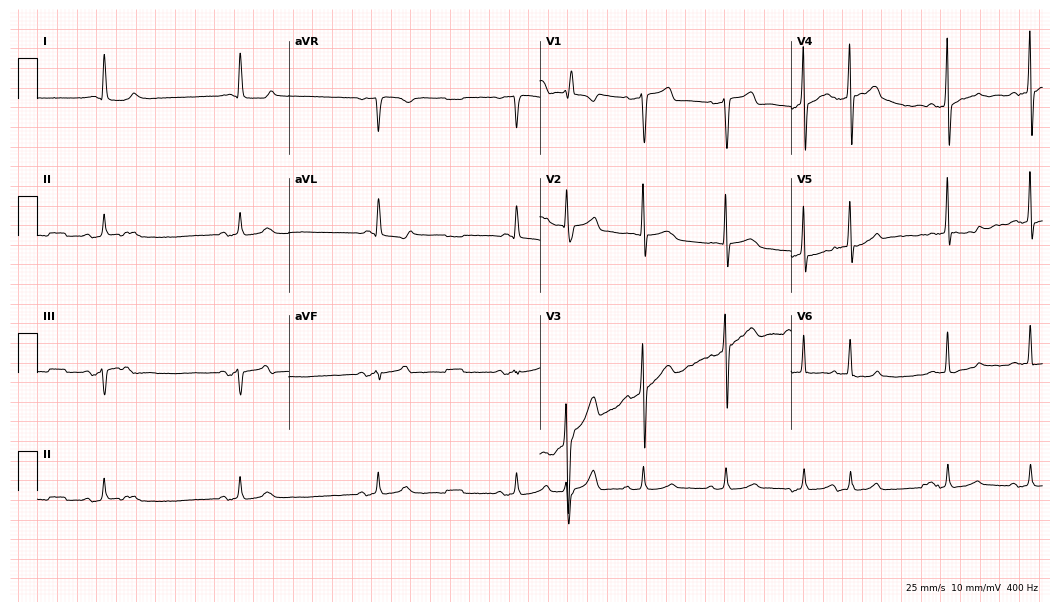
Electrocardiogram, a 70-year-old man. Of the six screened findings (first-degree AV block, right bundle branch block, left bundle branch block, sinus bradycardia, atrial fibrillation, sinus tachycardia), none is recorded.